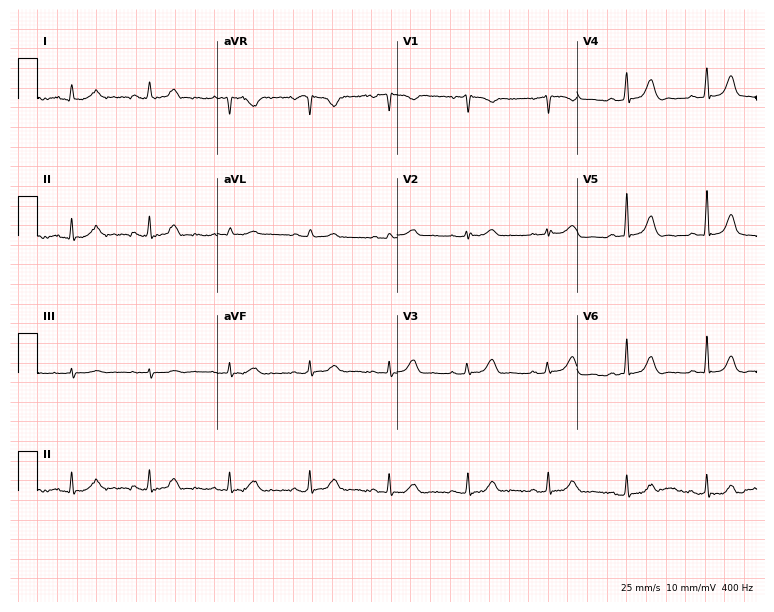
Electrocardiogram, a female patient, 45 years old. Of the six screened findings (first-degree AV block, right bundle branch block, left bundle branch block, sinus bradycardia, atrial fibrillation, sinus tachycardia), none is recorded. Findings outside these six are not listed.